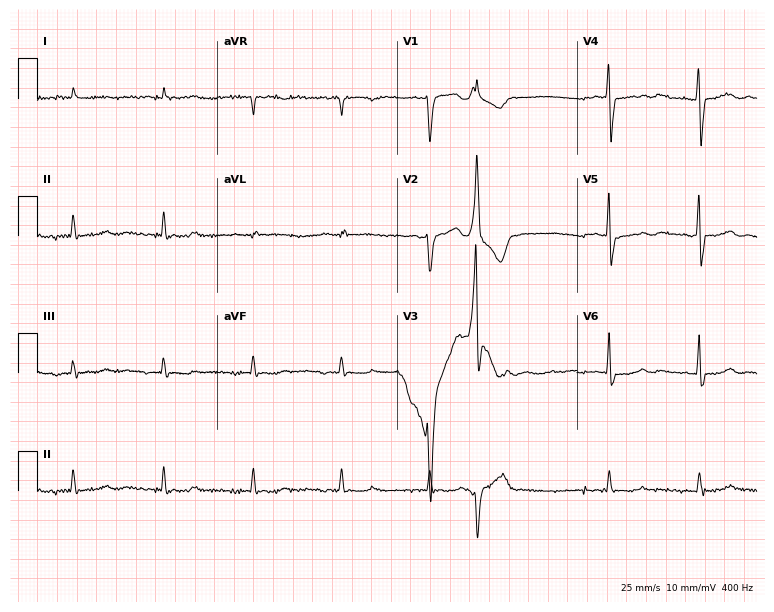
12-lead ECG from a 78-year-old male patient. Screened for six findings — first-degree AV block, right bundle branch block, left bundle branch block, sinus bradycardia, atrial fibrillation, sinus tachycardia — none is recorded.